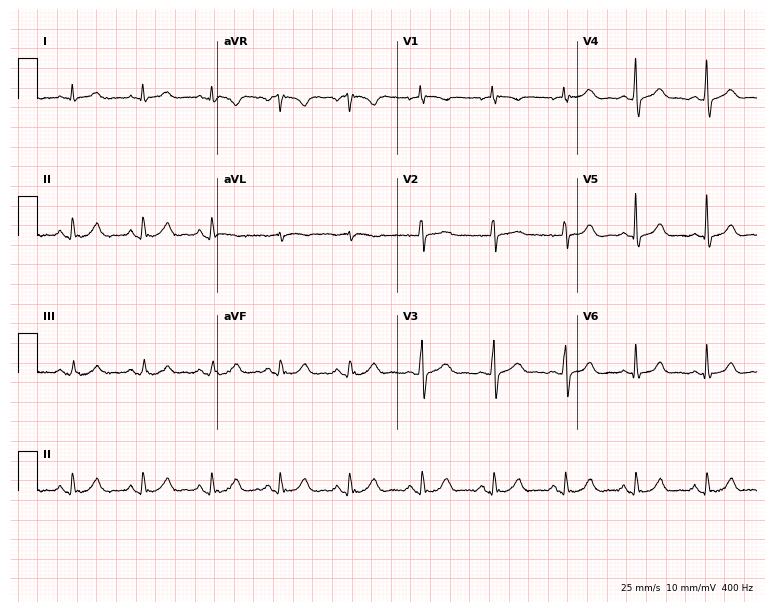
12-lead ECG from a male, 58 years old. Labelled as a normal ECG.